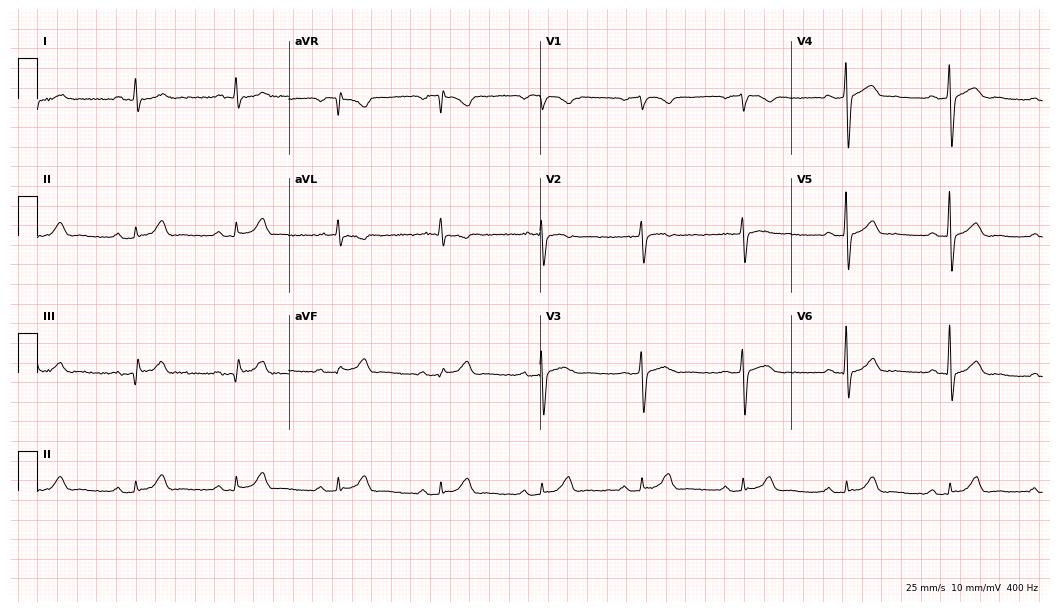
12-lead ECG from a 72-year-old man (10.2-second recording at 400 Hz). Recorded interpretation: within normal limits.